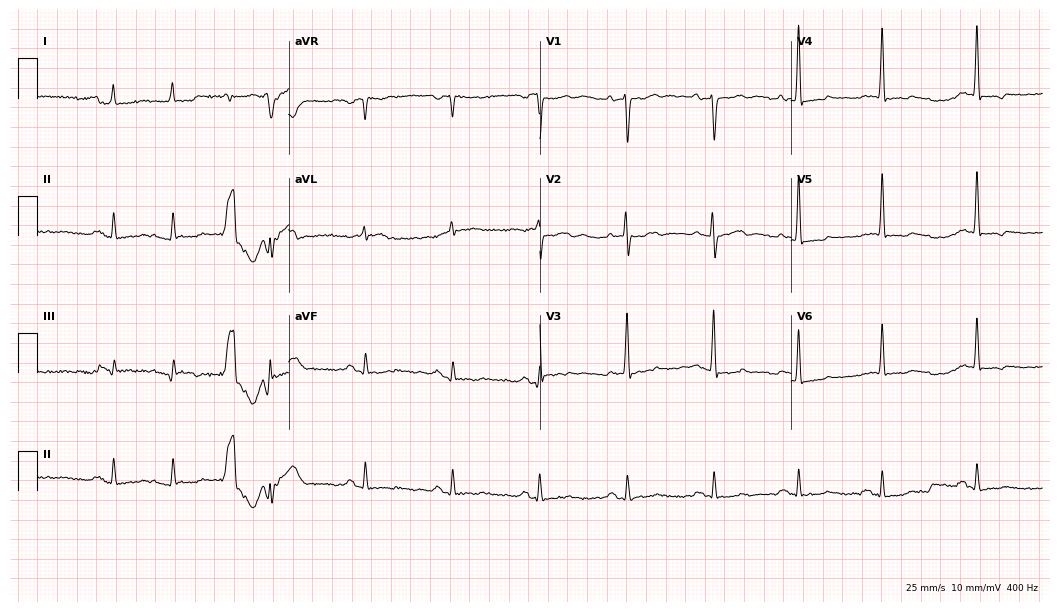
12-lead ECG from a 77-year-old man. Screened for six findings — first-degree AV block, right bundle branch block, left bundle branch block, sinus bradycardia, atrial fibrillation, sinus tachycardia — none is recorded.